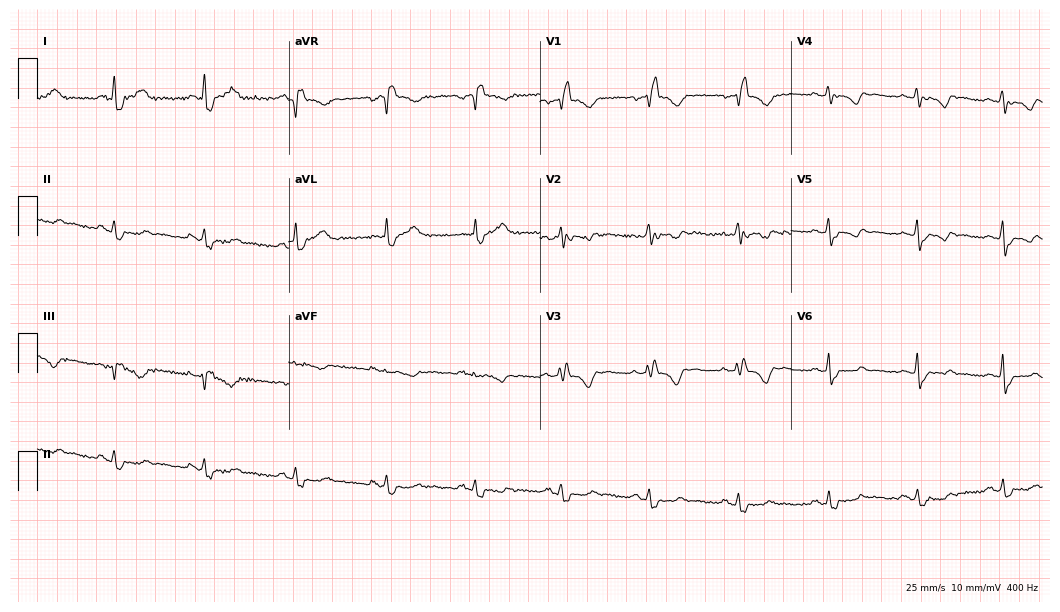
ECG — a 44-year-old female. Findings include right bundle branch block (RBBB).